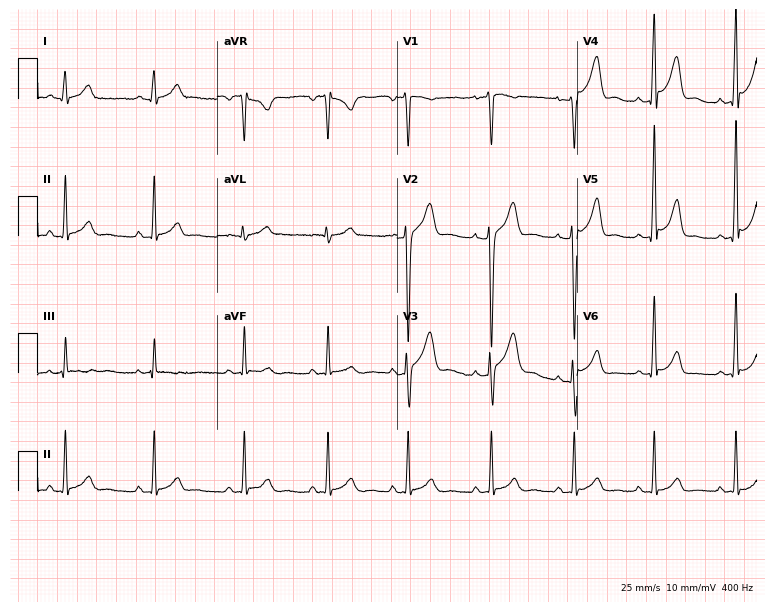
Electrocardiogram (7.3-second recording at 400 Hz), a 21-year-old male patient. Overall reading on record: normal ECG.